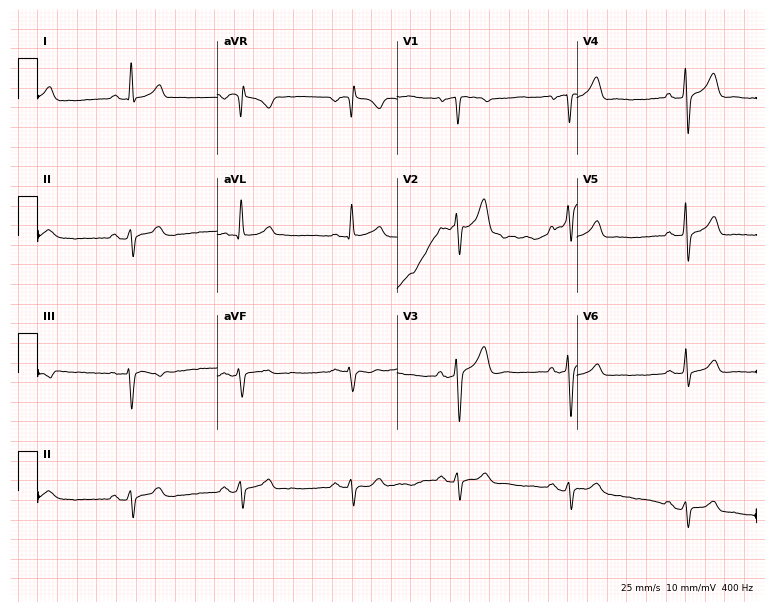
Resting 12-lead electrocardiogram. Patient: a 58-year-old man. None of these six findings is recorded: first-degree AV block, right bundle branch block, left bundle branch block, sinus bradycardia, atrial fibrillation, sinus tachycardia. Only these six findings were labelled.